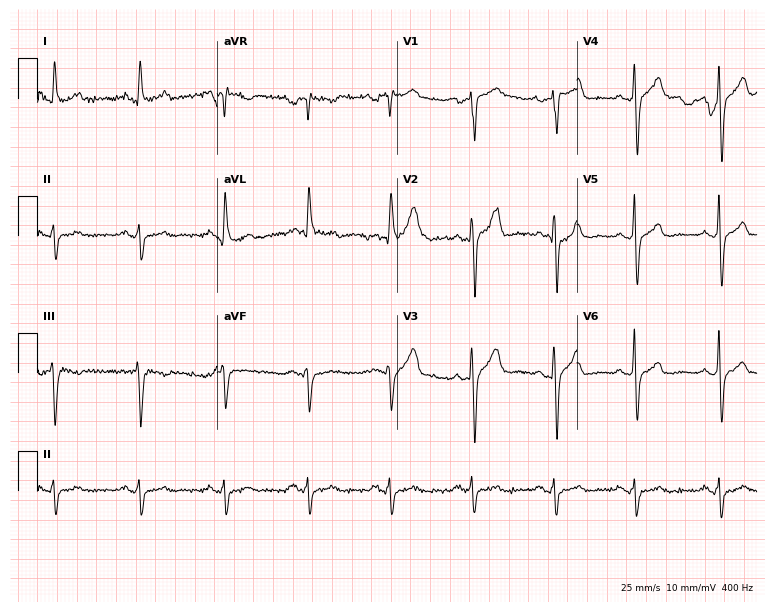
ECG — a male patient, 73 years old. Screened for six findings — first-degree AV block, right bundle branch block, left bundle branch block, sinus bradycardia, atrial fibrillation, sinus tachycardia — none is recorded. Findings outside these six are not listed.